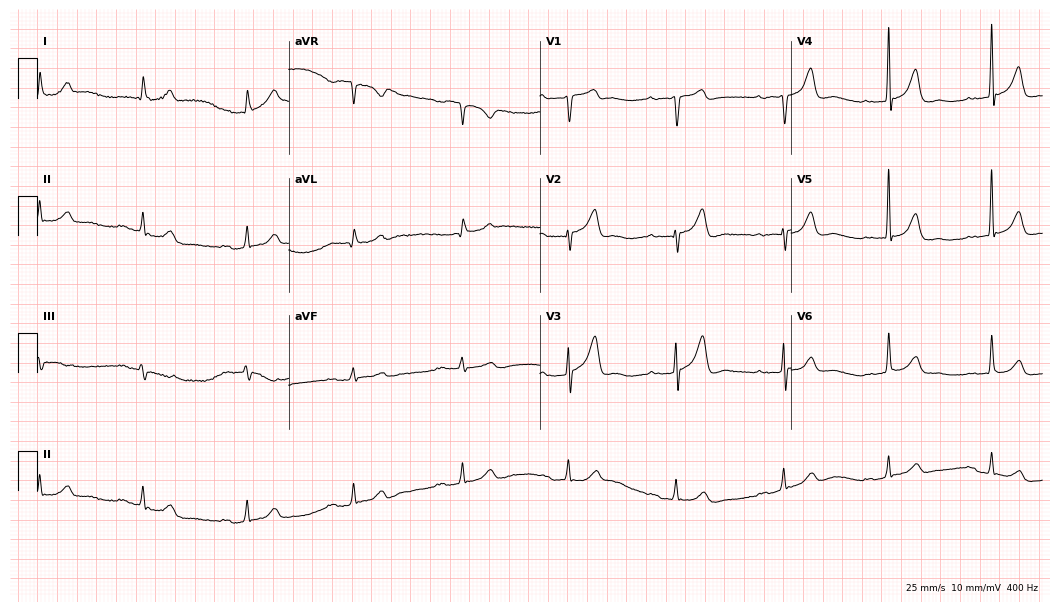
Standard 12-lead ECG recorded from a 62-year-old male (10.2-second recording at 400 Hz). The tracing shows first-degree AV block.